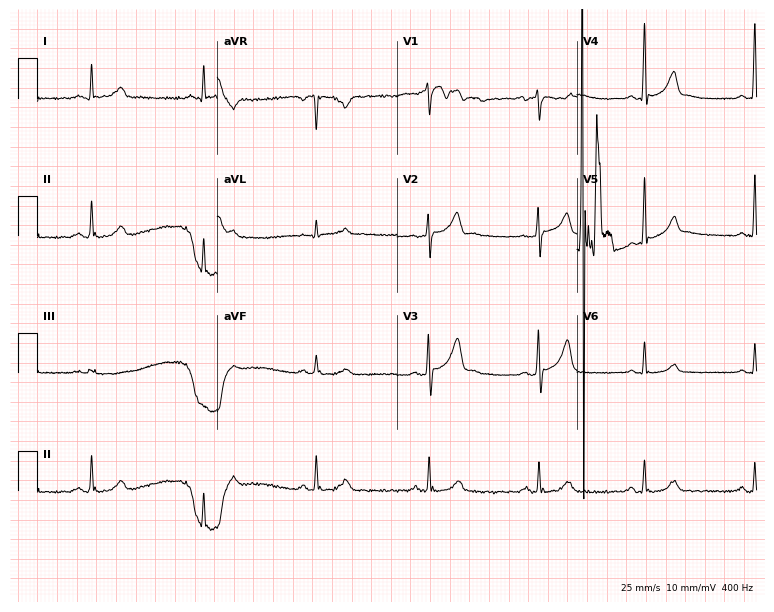
Electrocardiogram (7.3-second recording at 400 Hz), a 40-year-old male patient. Of the six screened findings (first-degree AV block, right bundle branch block (RBBB), left bundle branch block (LBBB), sinus bradycardia, atrial fibrillation (AF), sinus tachycardia), none is recorded. Only these six findings were labelled.